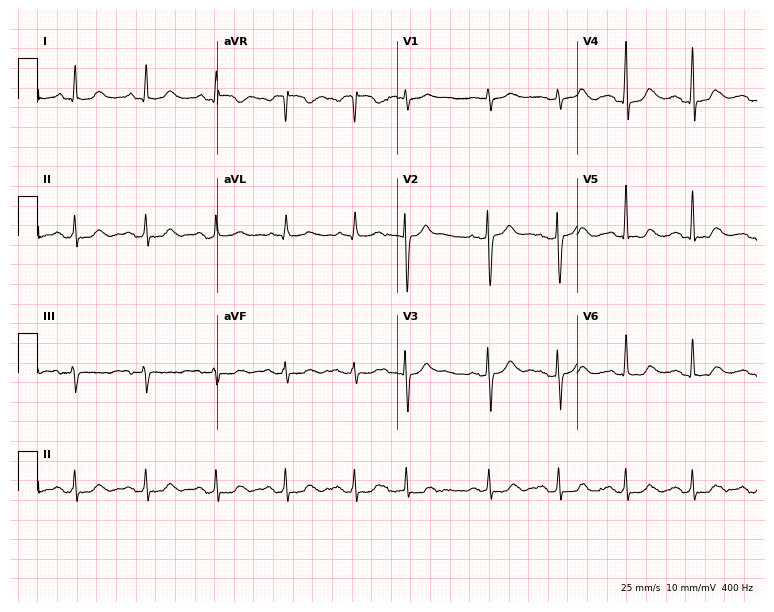
12-lead ECG (7.3-second recording at 400 Hz) from a man, 17 years old. Screened for six findings — first-degree AV block, right bundle branch block, left bundle branch block, sinus bradycardia, atrial fibrillation, sinus tachycardia — none is recorded.